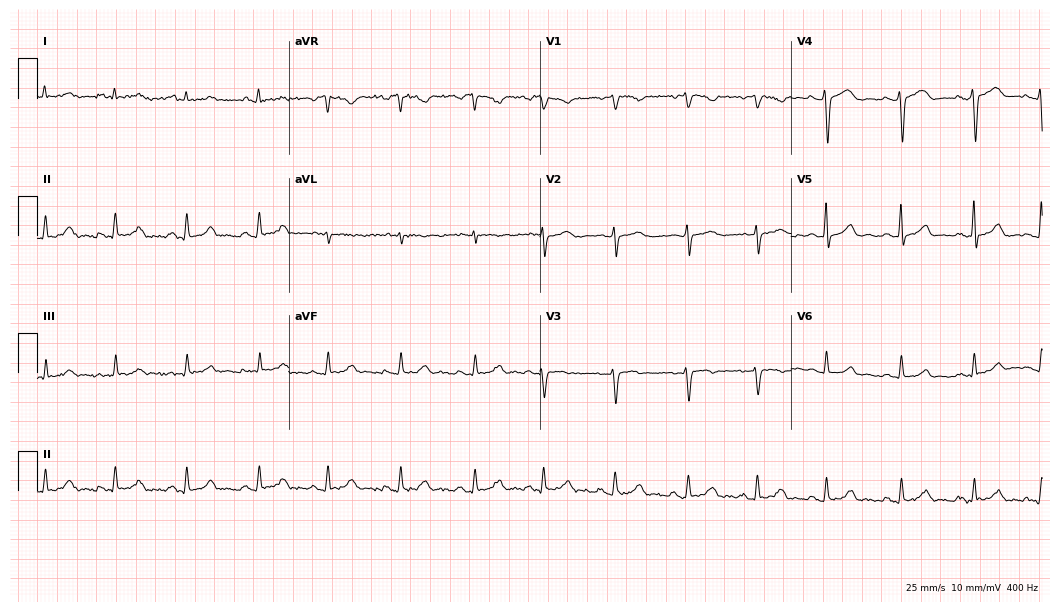
Resting 12-lead electrocardiogram (10.2-second recording at 400 Hz). Patient: a female, 45 years old. Read as a normal ECG.